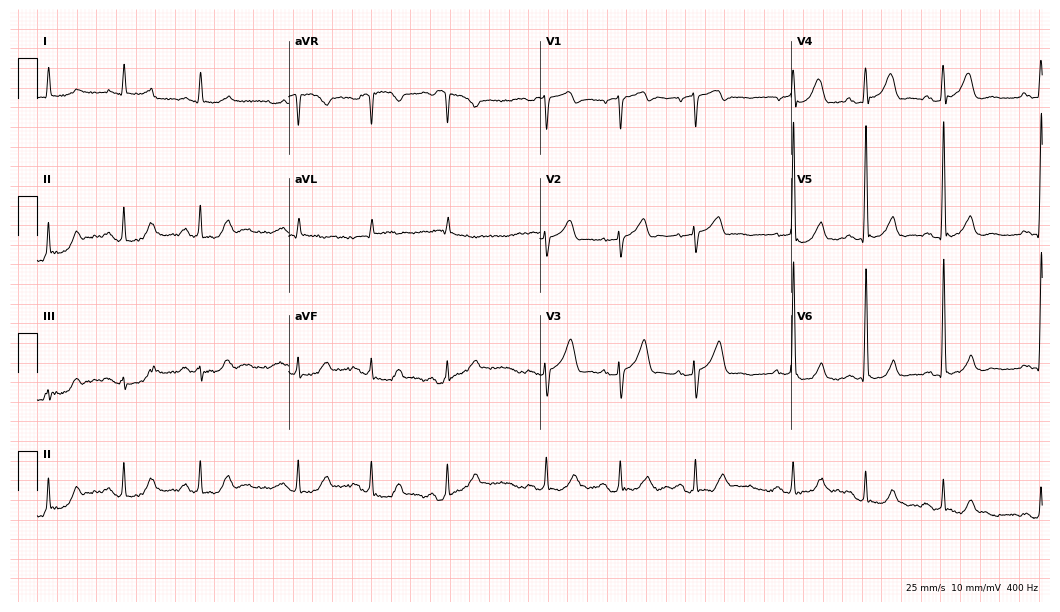
ECG (10.2-second recording at 400 Hz) — a male, 78 years old. Screened for six findings — first-degree AV block, right bundle branch block, left bundle branch block, sinus bradycardia, atrial fibrillation, sinus tachycardia — none is recorded.